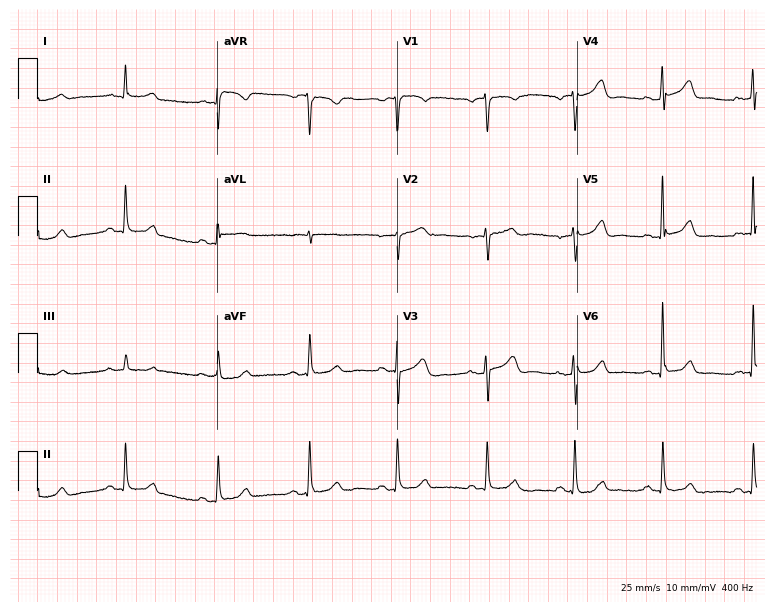
ECG (7.3-second recording at 400 Hz) — a 76-year-old female patient. Labelled as a normal ECG.